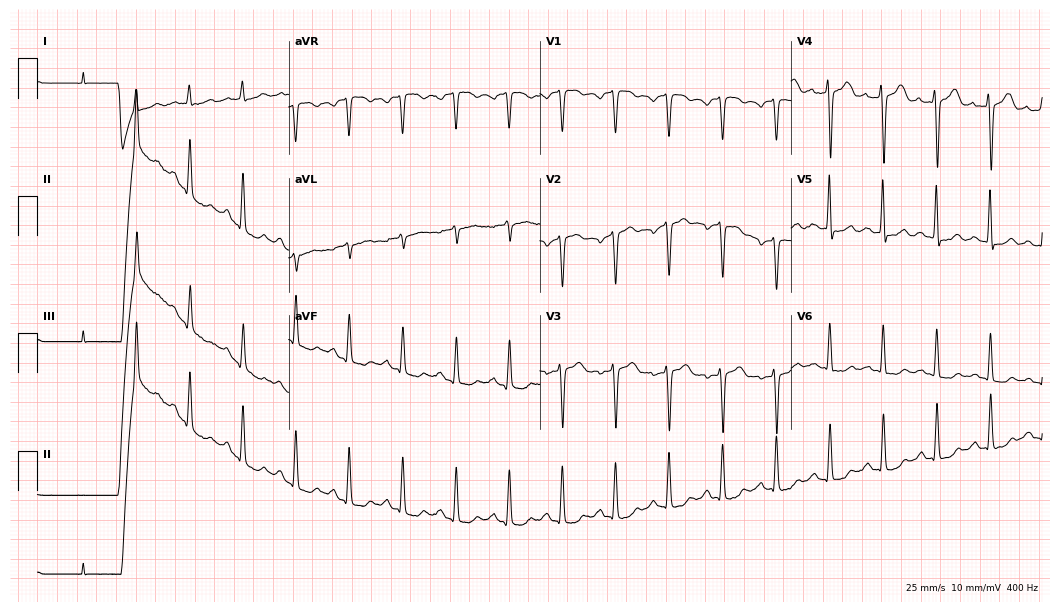
ECG (10.2-second recording at 400 Hz) — a 54-year-old female. Screened for six findings — first-degree AV block, right bundle branch block (RBBB), left bundle branch block (LBBB), sinus bradycardia, atrial fibrillation (AF), sinus tachycardia — none is recorded. Findings outside these six are not listed.